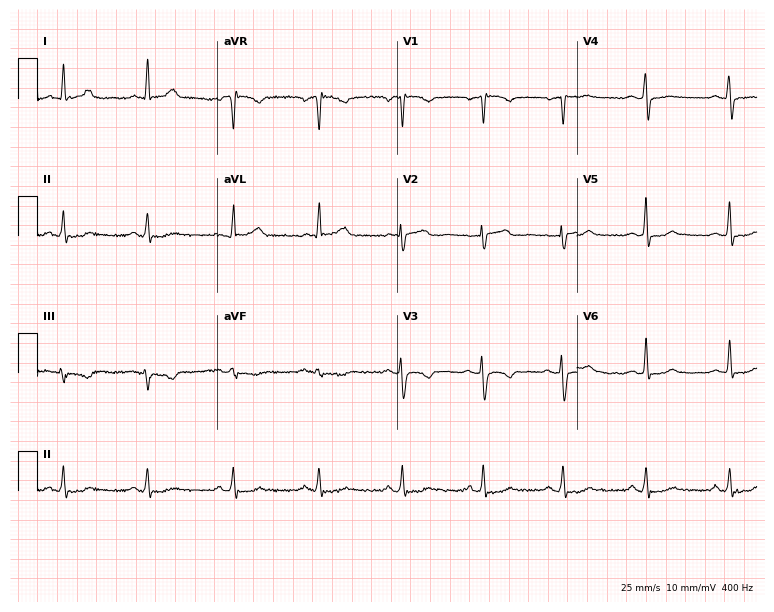
Electrocardiogram, a woman, 55 years old. Overall reading on record: normal ECG.